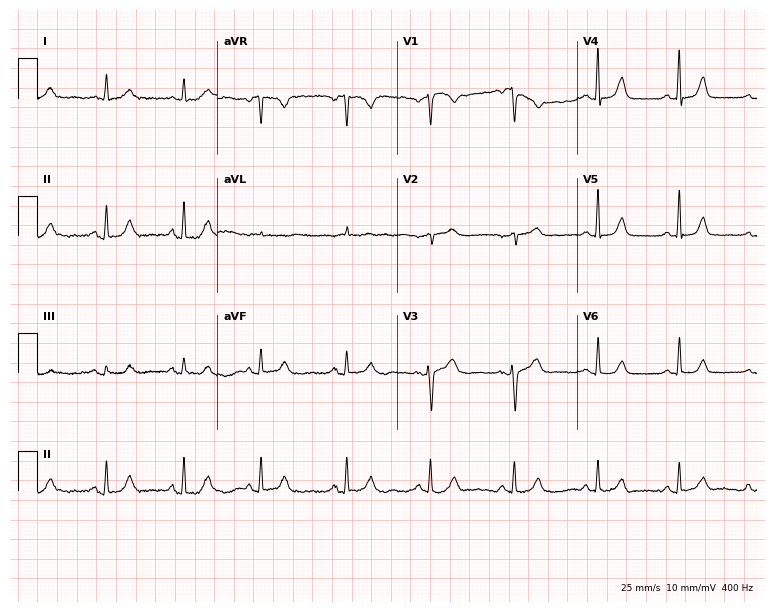
Standard 12-lead ECG recorded from a woman, 68 years old. None of these six findings is recorded: first-degree AV block, right bundle branch block (RBBB), left bundle branch block (LBBB), sinus bradycardia, atrial fibrillation (AF), sinus tachycardia.